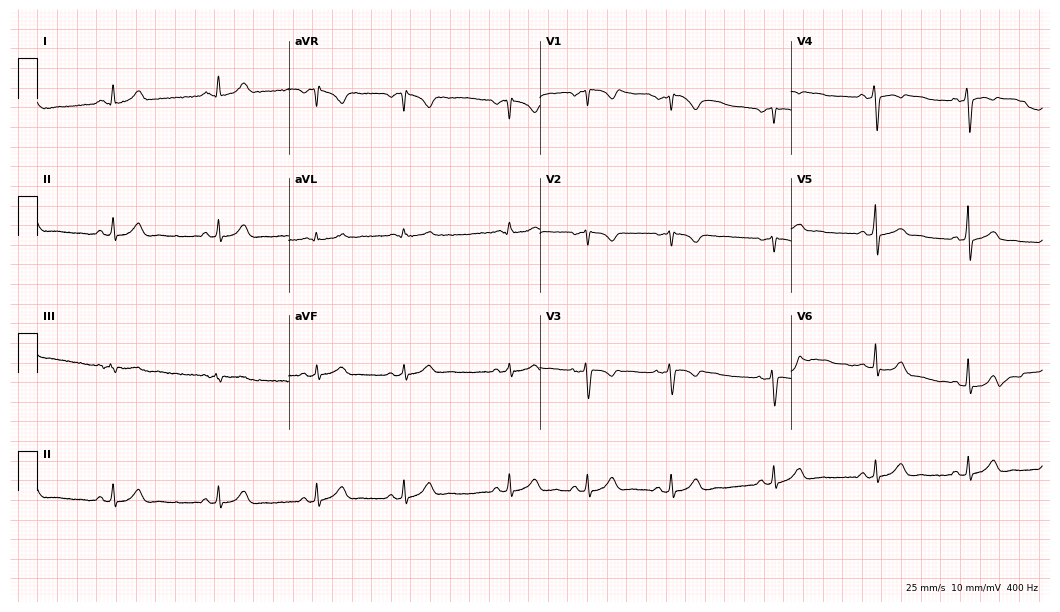
Standard 12-lead ECG recorded from a female, 28 years old (10.2-second recording at 400 Hz). None of these six findings is recorded: first-degree AV block, right bundle branch block (RBBB), left bundle branch block (LBBB), sinus bradycardia, atrial fibrillation (AF), sinus tachycardia.